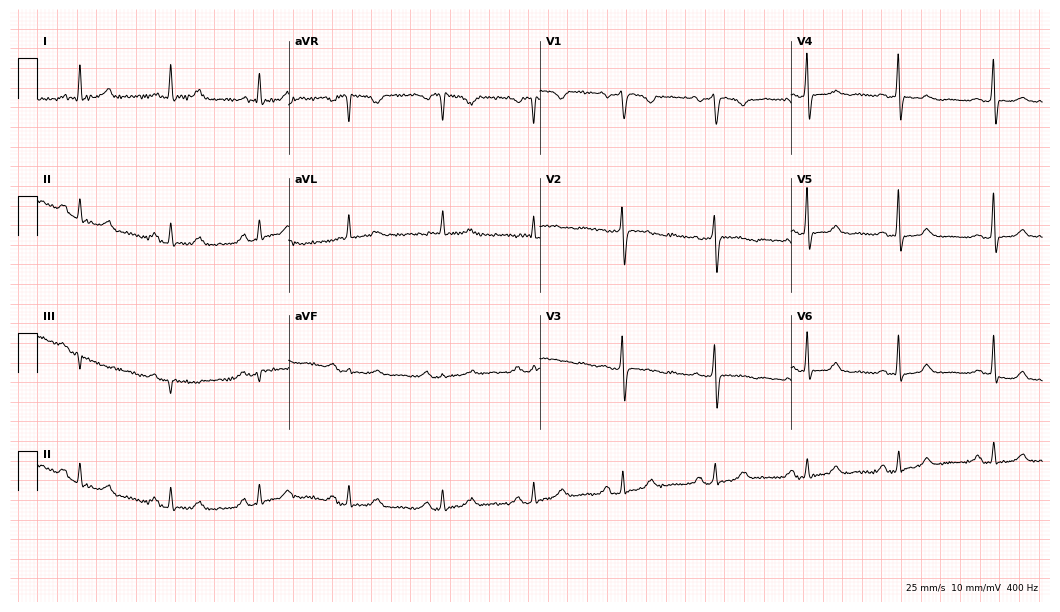
12-lead ECG from a female, 60 years old. No first-degree AV block, right bundle branch block, left bundle branch block, sinus bradycardia, atrial fibrillation or sinus tachycardia recorded for this tracing. Other findings, if any, are not listed.